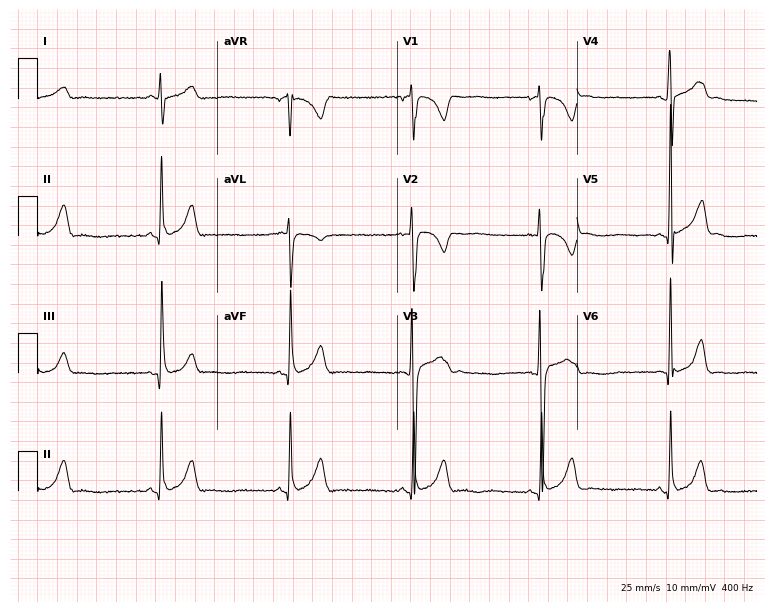
Electrocardiogram, a 22-year-old male. Interpretation includes sinus bradycardia (a sinus rate of 50 beats per minute or less).